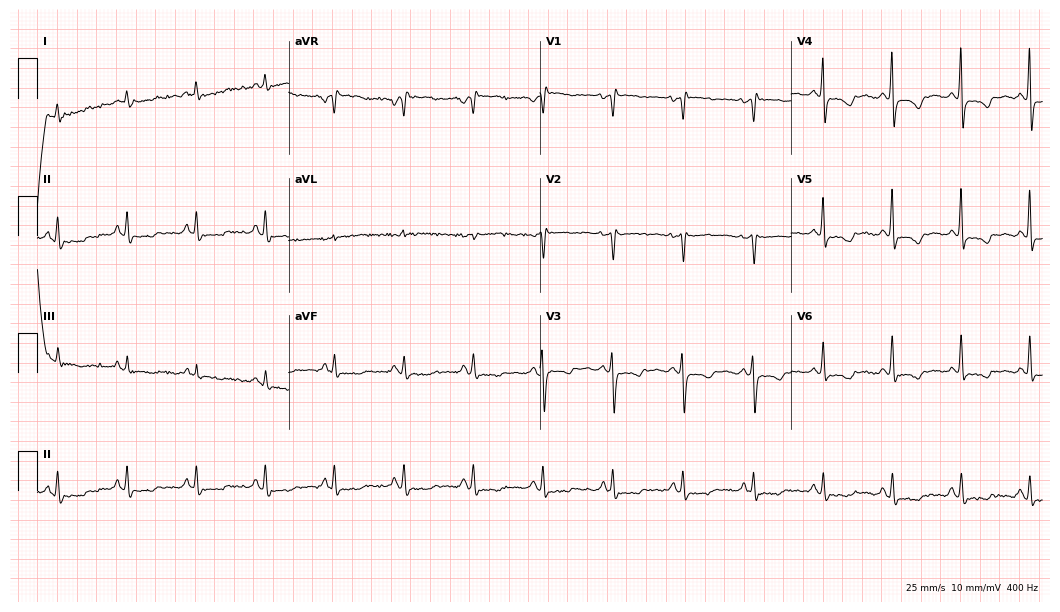
12-lead ECG from a 59-year-old female. No first-degree AV block, right bundle branch block, left bundle branch block, sinus bradycardia, atrial fibrillation or sinus tachycardia recorded for this tracing.